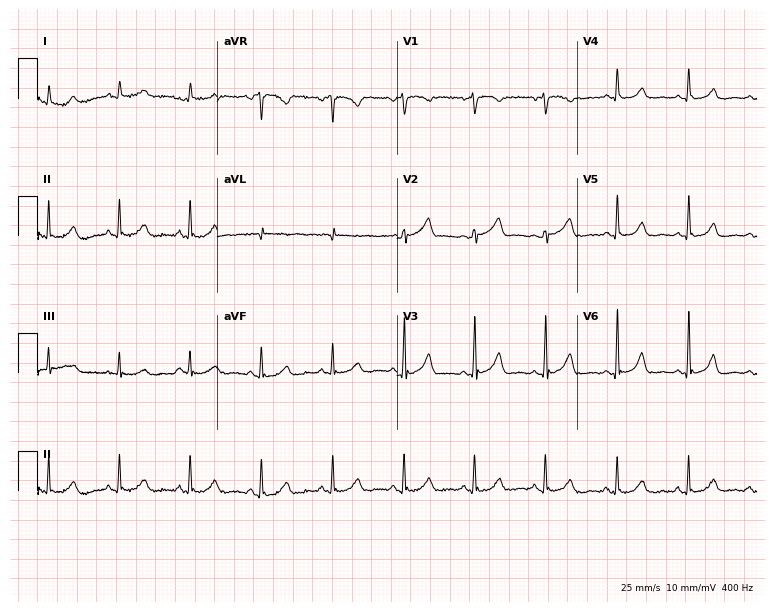
12-lead ECG (7.3-second recording at 400 Hz) from a woman, 67 years old. Labelled as a normal ECG.